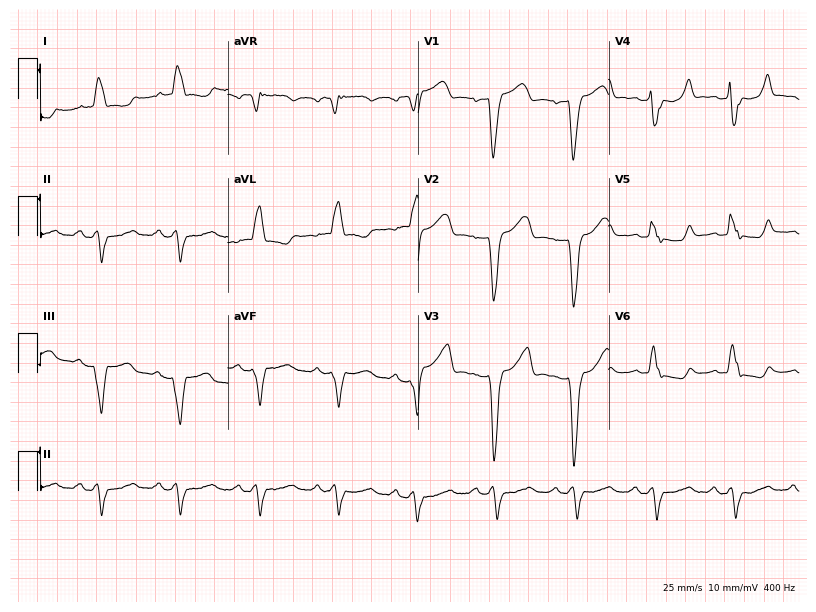
Electrocardiogram, a 49-year-old female. Interpretation includes left bundle branch block.